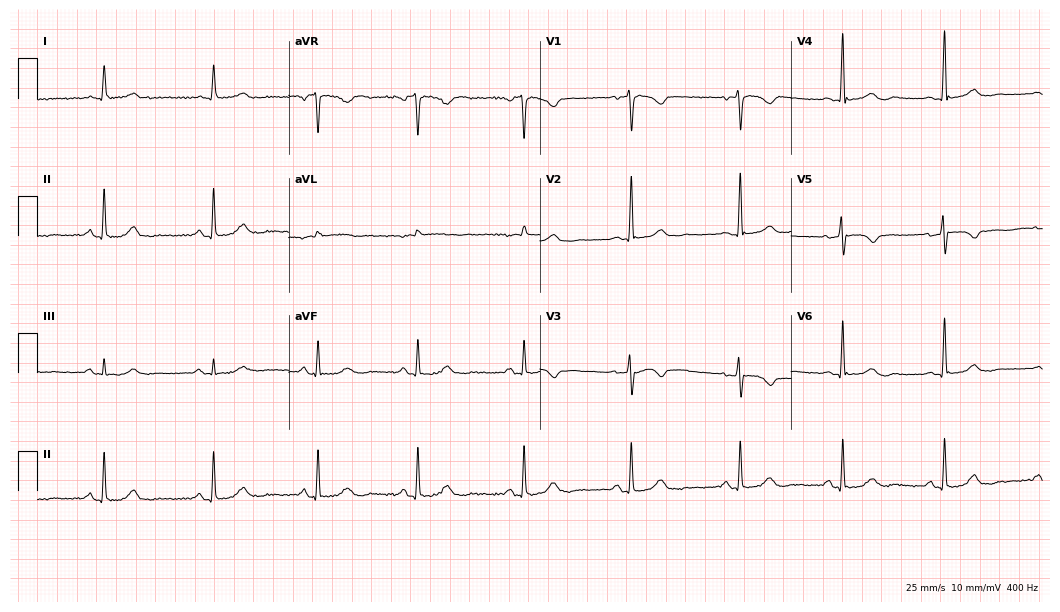
12-lead ECG from a female, 64 years old. Screened for six findings — first-degree AV block, right bundle branch block, left bundle branch block, sinus bradycardia, atrial fibrillation, sinus tachycardia — none is recorded.